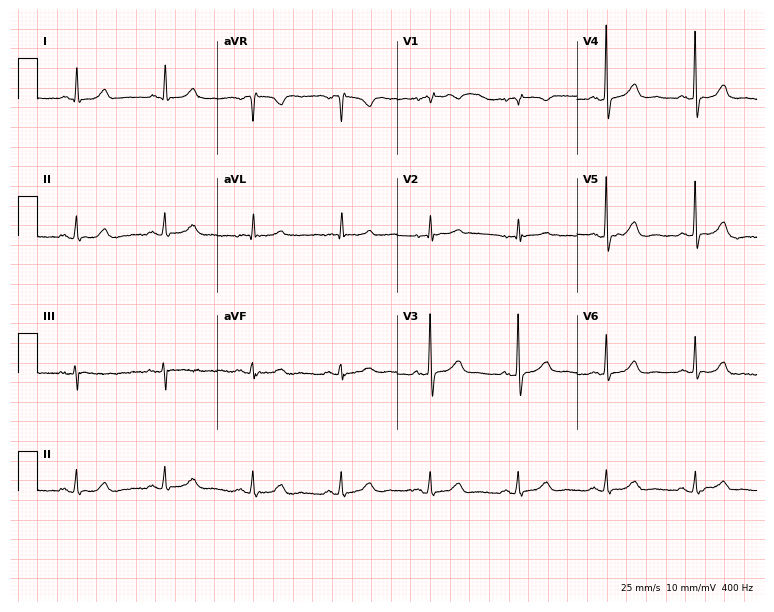
12-lead ECG from an 82-year-old woman. Labelled as a normal ECG.